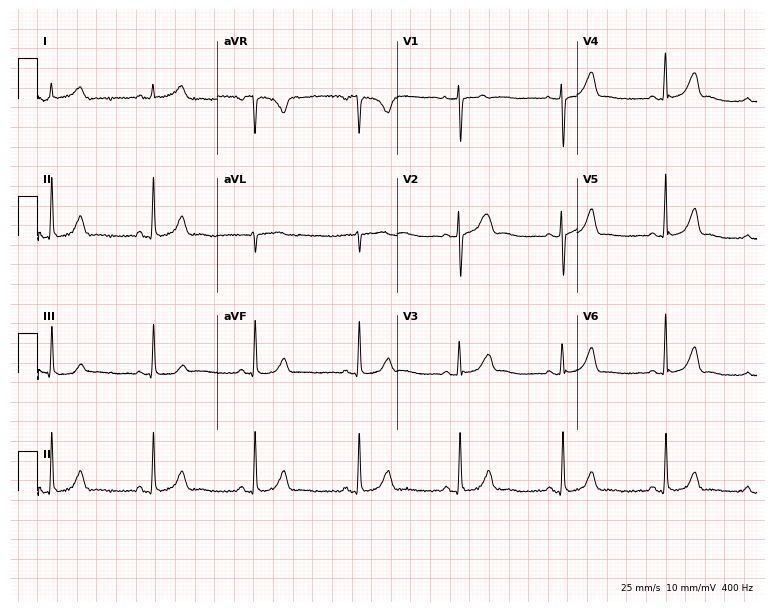
Resting 12-lead electrocardiogram. Patient: a female, 24 years old. Read as a normal ECG.